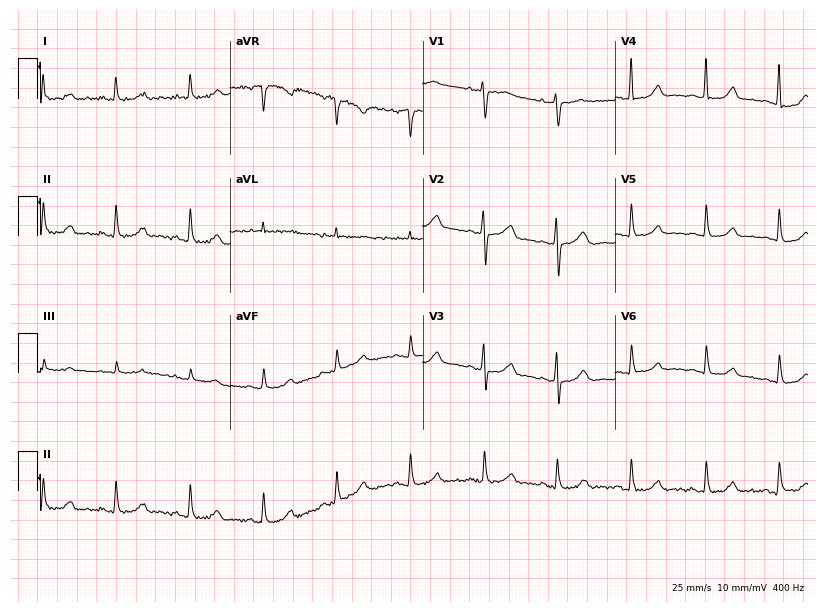
Electrocardiogram (7.9-second recording at 400 Hz), a 63-year-old woman. Overall reading on record: normal ECG.